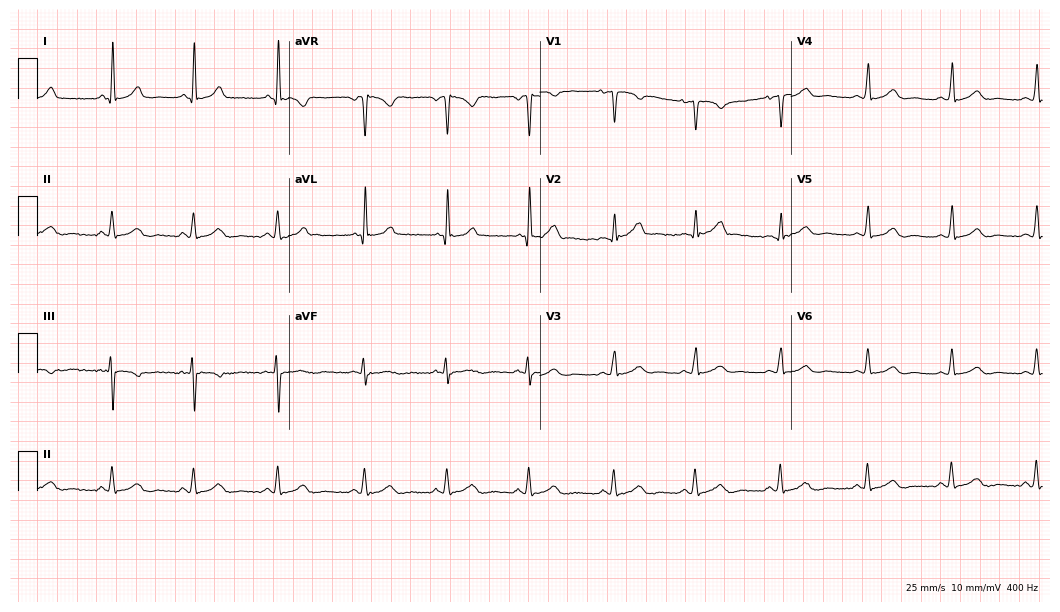
Electrocardiogram (10.2-second recording at 400 Hz), a 31-year-old female patient. Overall reading on record: normal ECG.